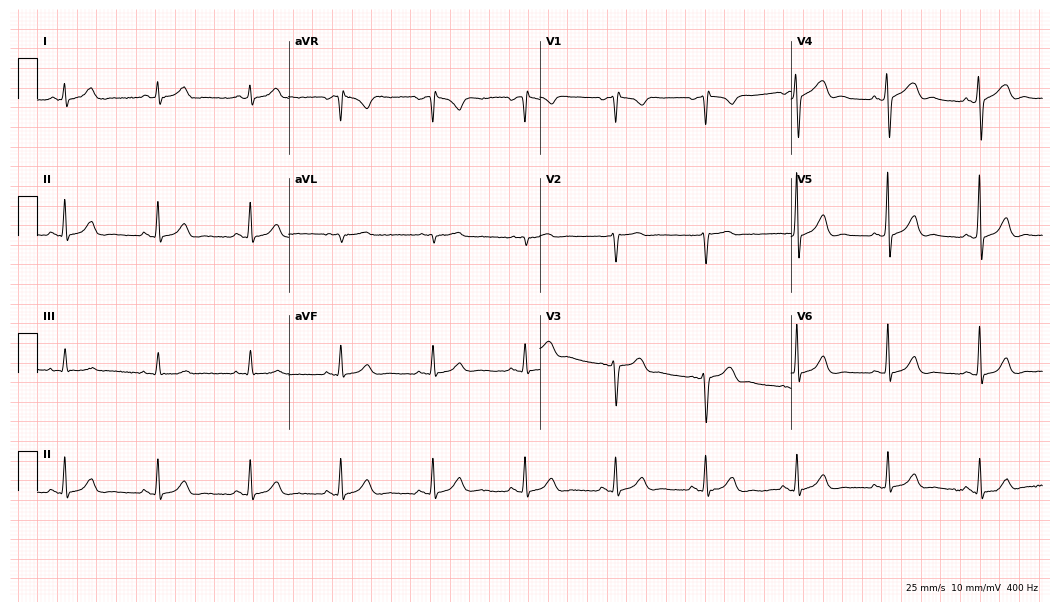
12-lead ECG (10.2-second recording at 400 Hz) from a male, 51 years old. Screened for six findings — first-degree AV block, right bundle branch block, left bundle branch block, sinus bradycardia, atrial fibrillation, sinus tachycardia — none is recorded. Only these six findings were labelled.